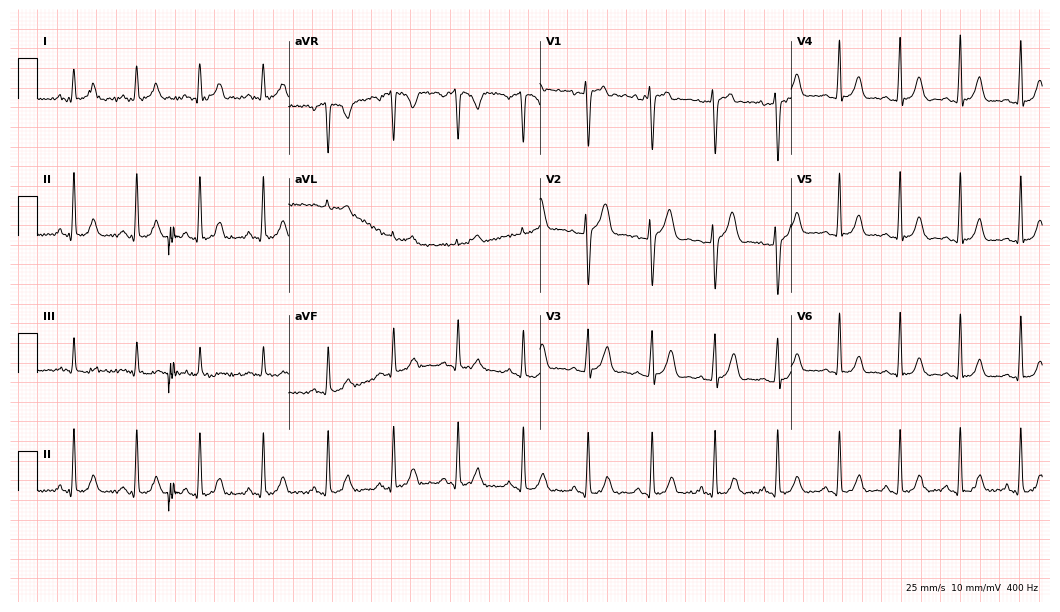
ECG — a 21-year-old woman. Labelled as a normal ECG.